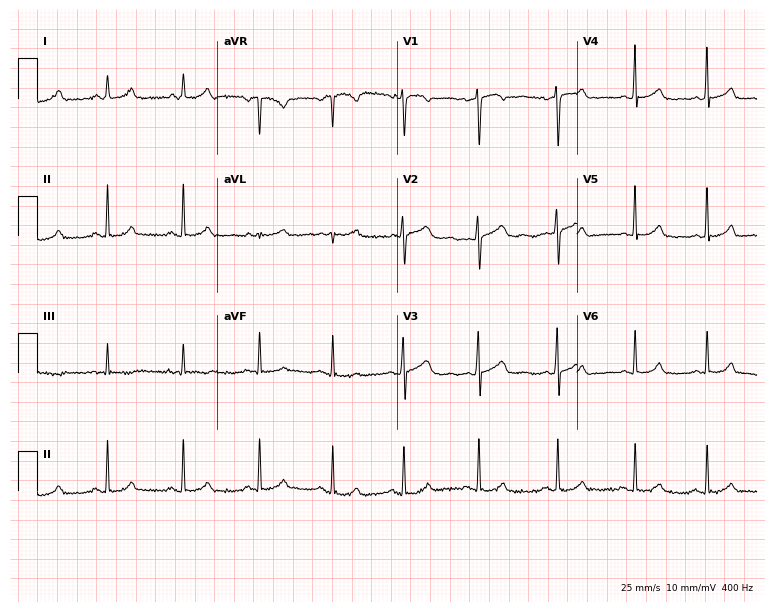
Resting 12-lead electrocardiogram (7.3-second recording at 400 Hz). Patient: a female, 20 years old. Read as a normal ECG.